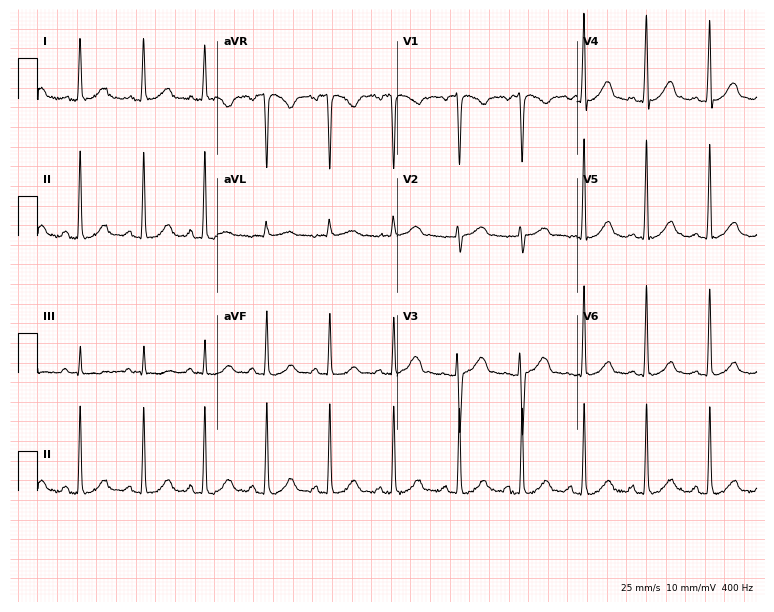
12-lead ECG (7.3-second recording at 400 Hz) from a female patient, 39 years old. Labelled as a normal ECG.